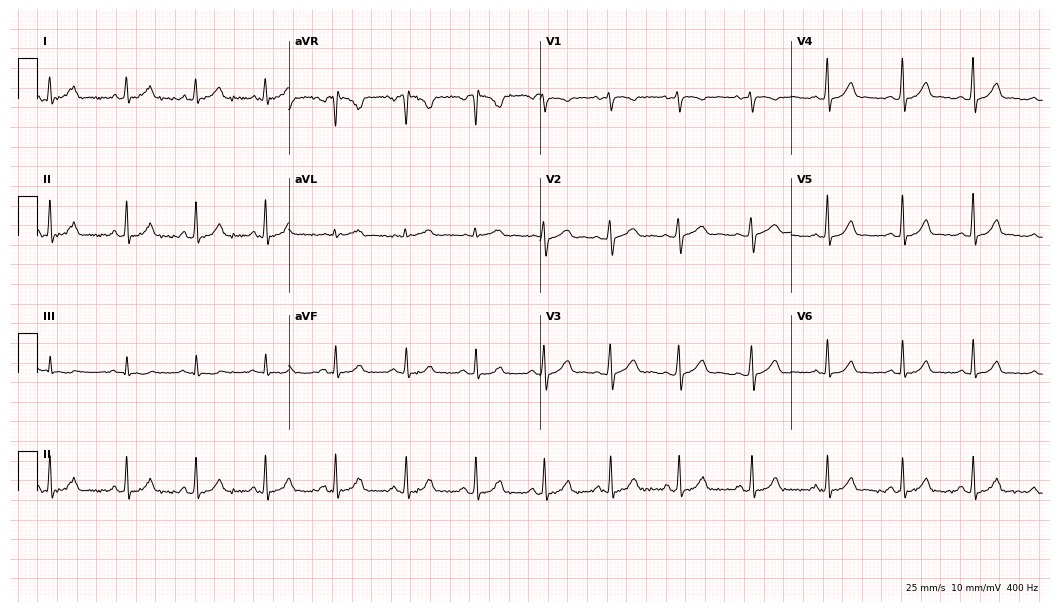
12-lead ECG (10.2-second recording at 400 Hz) from a female patient, 45 years old. Labelled as a normal ECG.